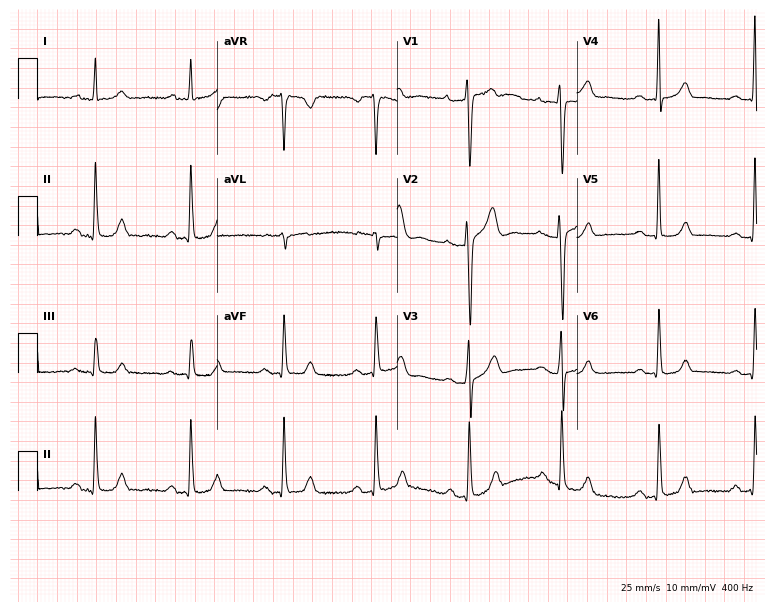
Standard 12-lead ECG recorded from a 36-year-old female patient. Read as a normal ECG.